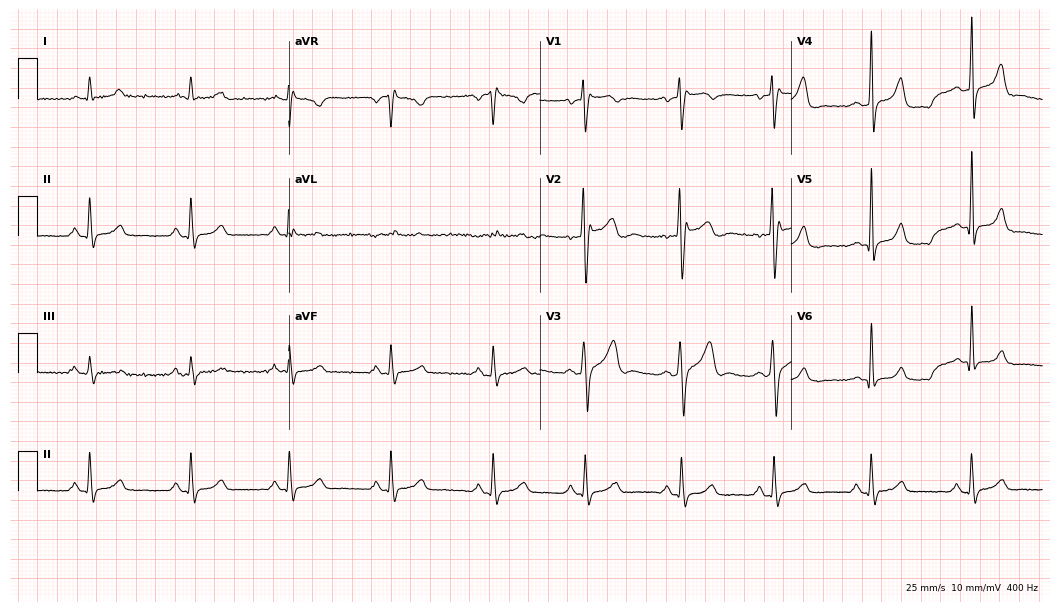
12-lead ECG from a man, 31 years old. Screened for six findings — first-degree AV block, right bundle branch block (RBBB), left bundle branch block (LBBB), sinus bradycardia, atrial fibrillation (AF), sinus tachycardia — none is recorded. Only these six findings were labelled.